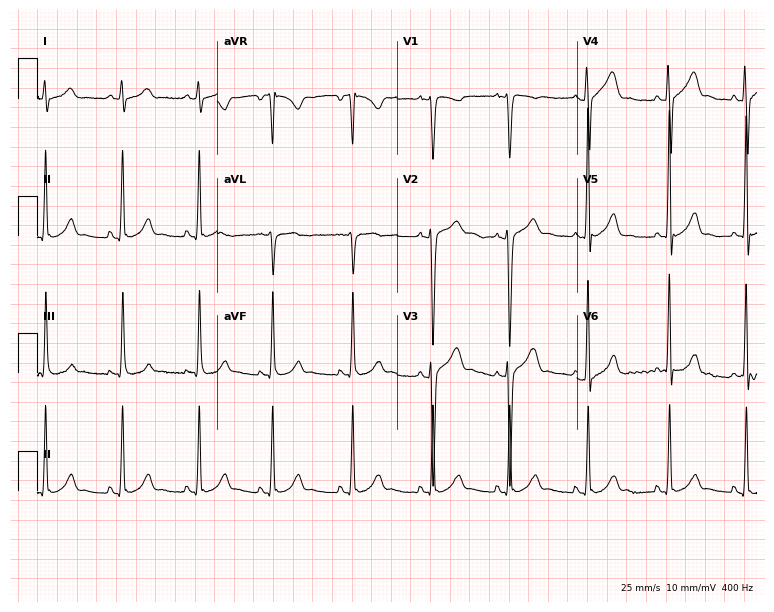
Electrocardiogram, a male, 21 years old. Overall reading on record: normal ECG.